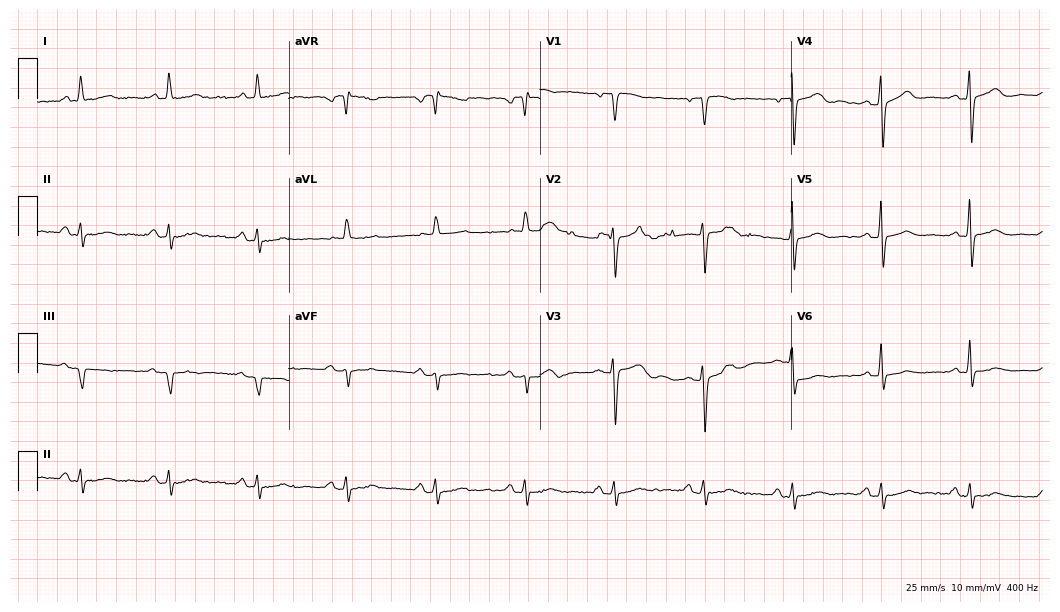
Resting 12-lead electrocardiogram. Patient: a 47-year-old female. Read as a normal ECG.